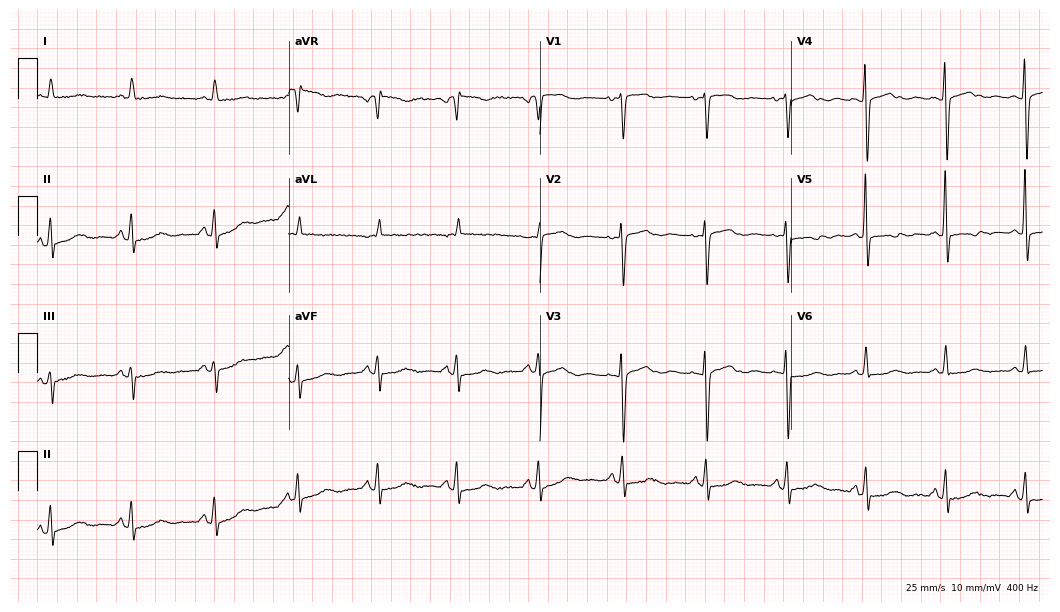
Electrocardiogram (10.2-second recording at 400 Hz), a female, 73 years old. Of the six screened findings (first-degree AV block, right bundle branch block (RBBB), left bundle branch block (LBBB), sinus bradycardia, atrial fibrillation (AF), sinus tachycardia), none is recorded.